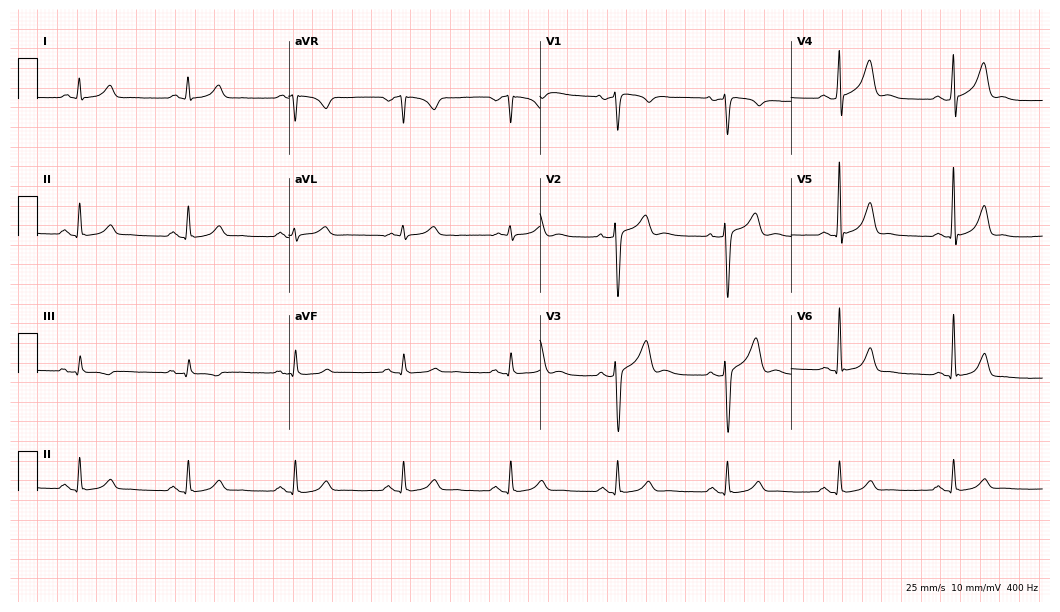
Resting 12-lead electrocardiogram. Patient: a 47-year-old male. None of these six findings is recorded: first-degree AV block, right bundle branch block, left bundle branch block, sinus bradycardia, atrial fibrillation, sinus tachycardia. Other findings, if any, are not listed.